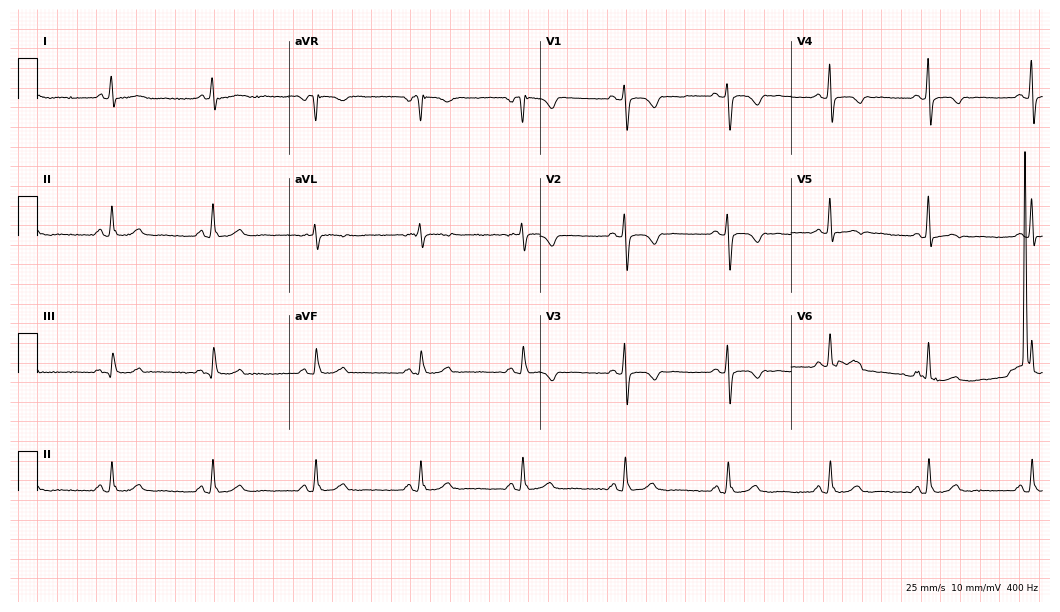
ECG (10.2-second recording at 400 Hz) — a 57-year-old female patient. Screened for six findings — first-degree AV block, right bundle branch block (RBBB), left bundle branch block (LBBB), sinus bradycardia, atrial fibrillation (AF), sinus tachycardia — none is recorded. Only these six findings were labelled.